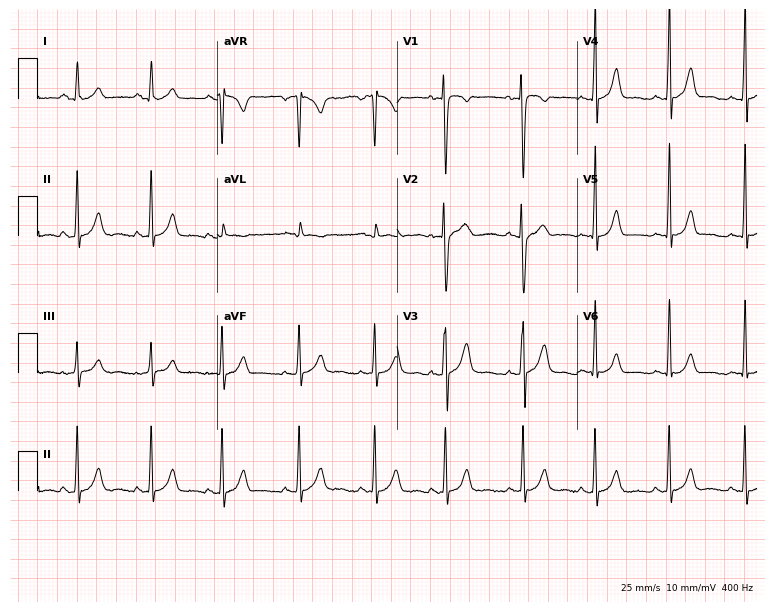
12-lead ECG from a woman, 18 years old. Labelled as a normal ECG.